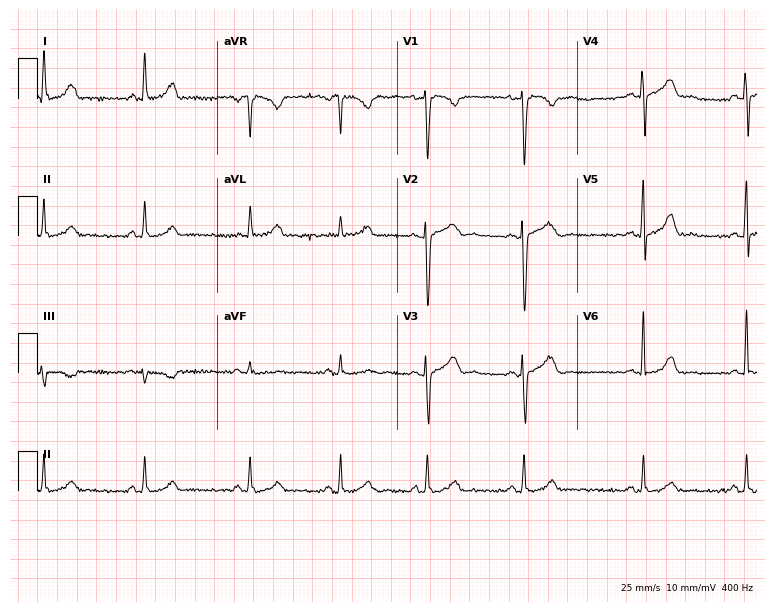
Standard 12-lead ECG recorded from a female, 35 years old (7.3-second recording at 400 Hz). Read as a normal ECG.